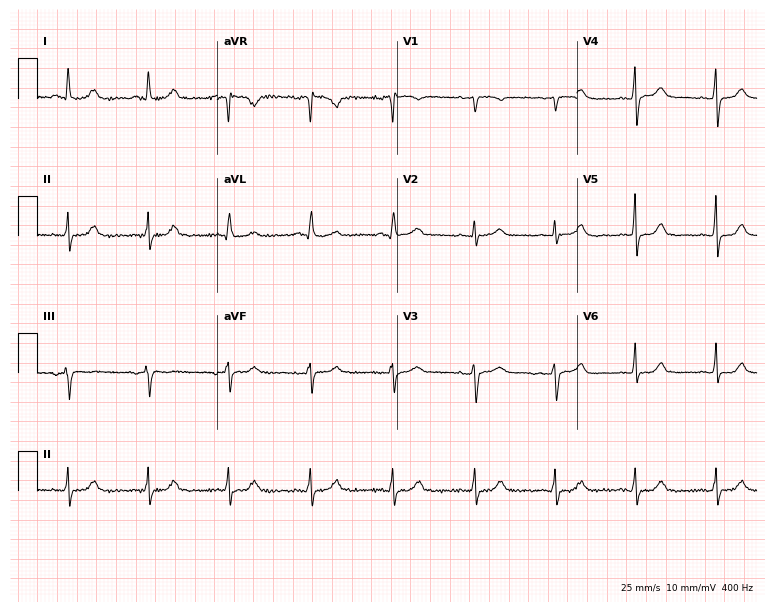
12-lead ECG (7.3-second recording at 400 Hz) from a 67-year-old female patient. Screened for six findings — first-degree AV block, right bundle branch block, left bundle branch block, sinus bradycardia, atrial fibrillation, sinus tachycardia — none is recorded. Other findings, if any, are not listed.